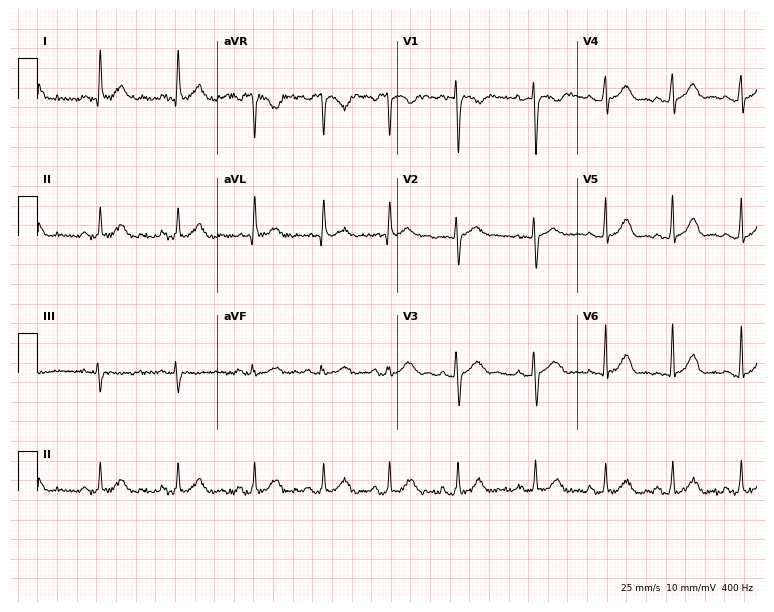
Resting 12-lead electrocardiogram (7.3-second recording at 400 Hz). Patient: a woman, 25 years old. Read as a normal ECG.